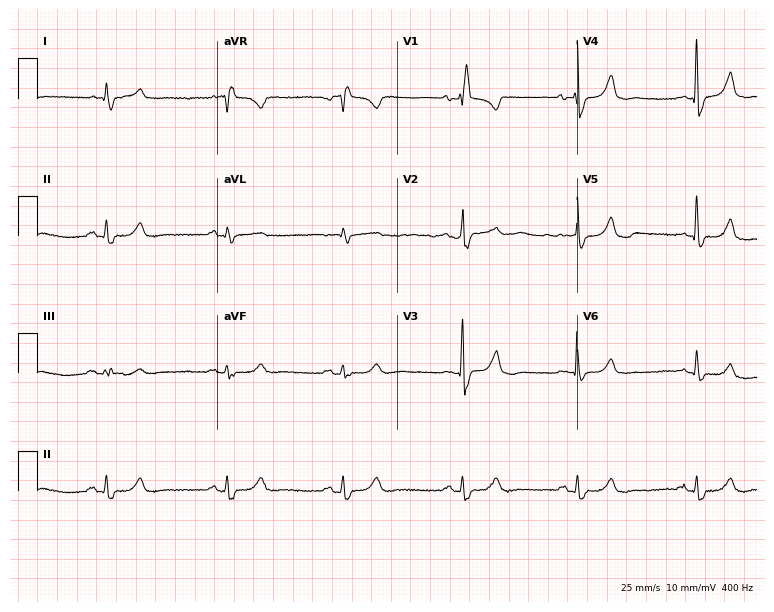
12-lead ECG from an 80-year-old female patient. Shows right bundle branch block (RBBB), sinus bradycardia (a sinus rate of 50 beats per minute or less).